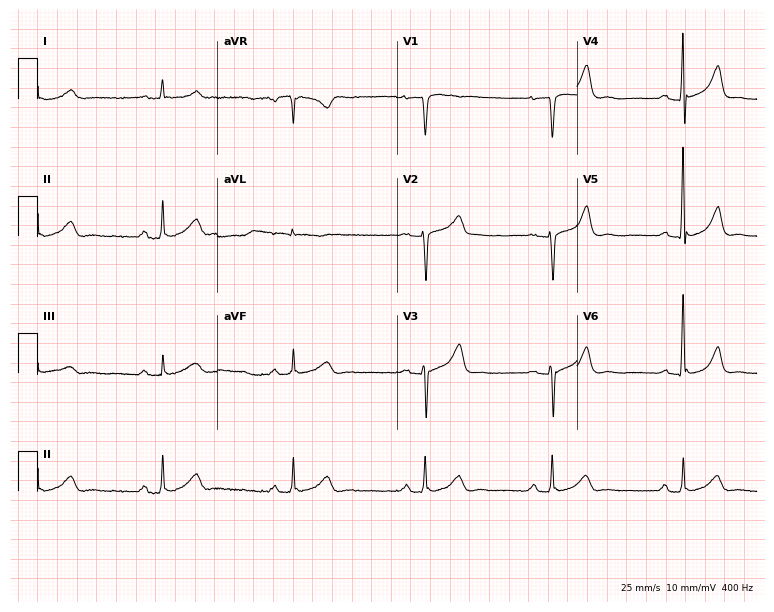
12-lead ECG from a 75-year-old man (7.3-second recording at 400 Hz). Shows first-degree AV block, sinus bradycardia (a sinus rate of 50 beats per minute or less).